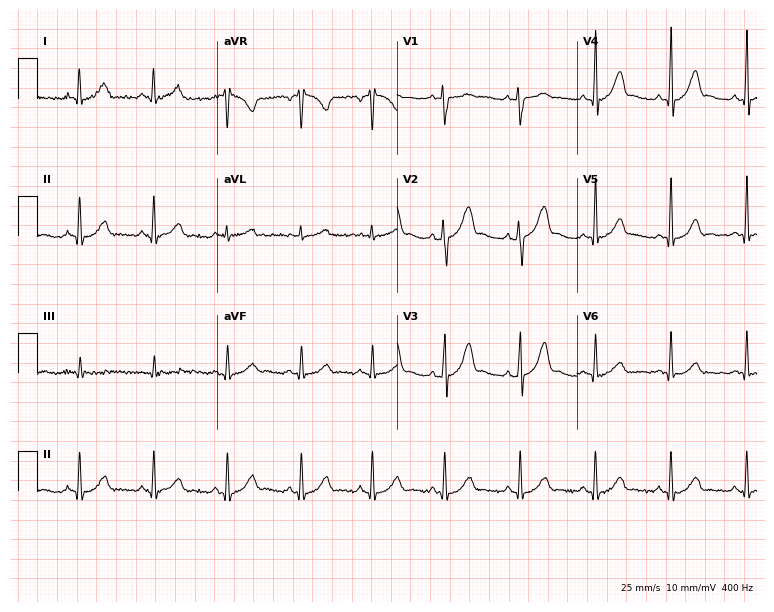
Standard 12-lead ECG recorded from a woman, 28 years old (7.3-second recording at 400 Hz). None of these six findings is recorded: first-degree AV block, right bundle branch block, left bundle branch block, sinus bradycardia, atrial fibrillation, sinus tachycardia. Only these six findings were labelled.